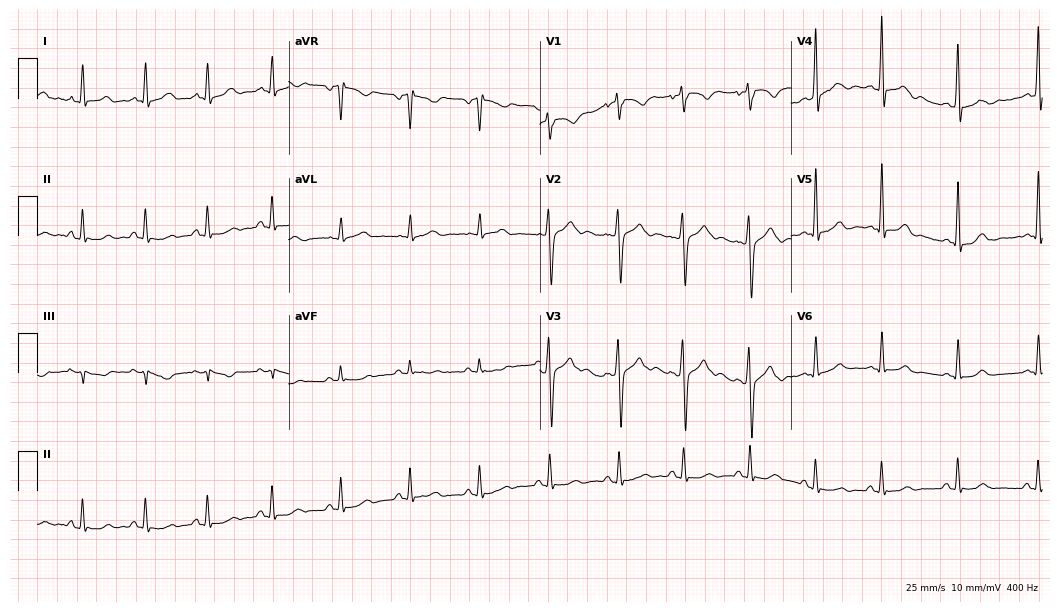
Resting 12-lead electrocardiogram. Patient: a male, 20 years old. None of these six findings is recorded: first-degree AV block, right bundle branch block (RBBB), left bundle branch block (LBBB), sinus bradycardia, atrial fibrillation (AF), sinus tachycardia. Findings outside these six are not listed.